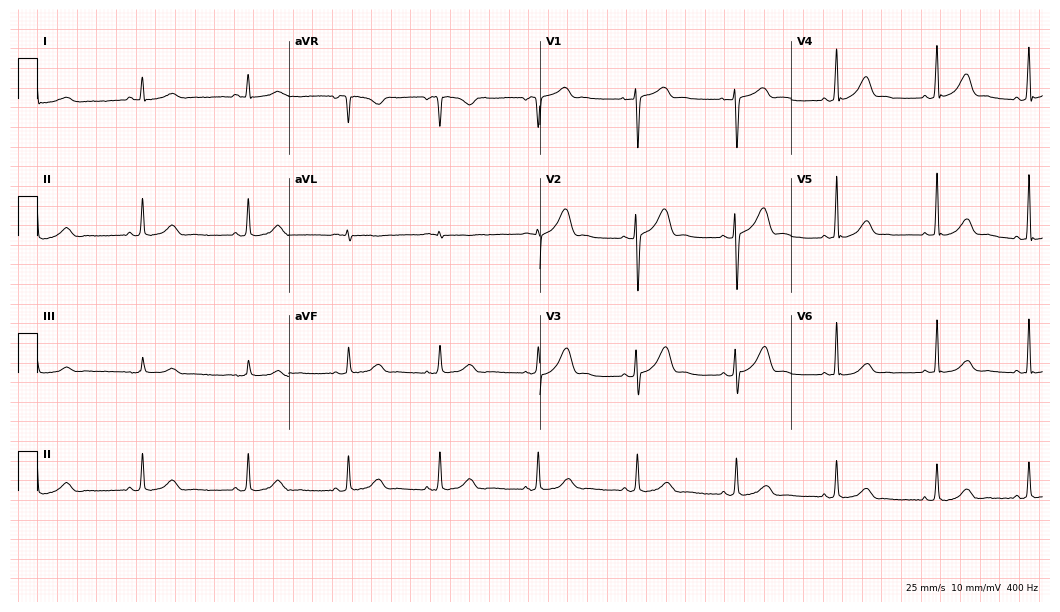
Standard 12-lead ECG recorded from a female patient, 31 years old. Read as a normal ECG.